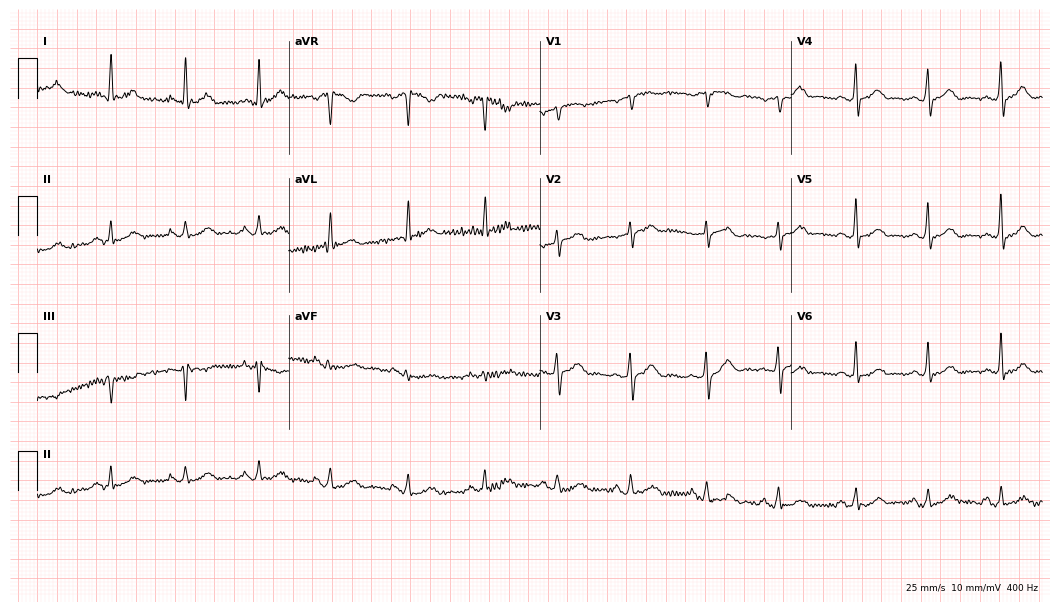
ECG (10.2-second recording at 400 Hz) — a 60-year-old female. Labelled as a normal ECG.